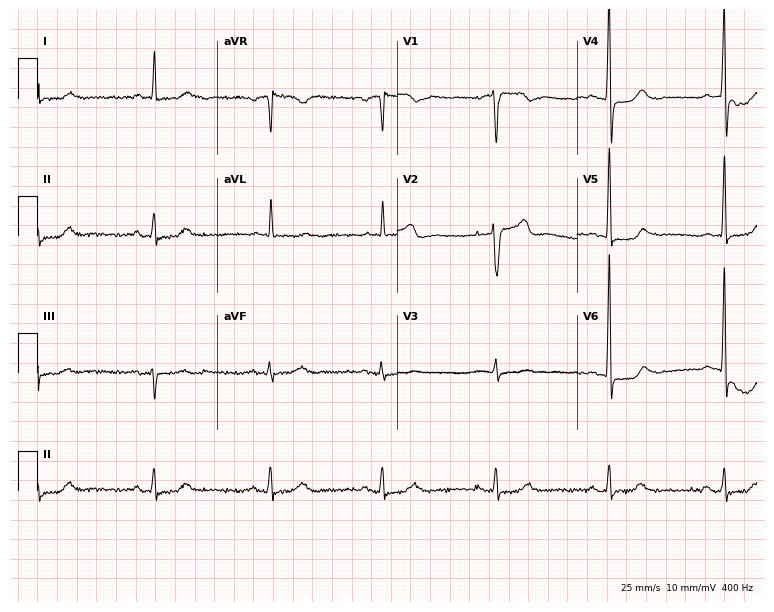
12-lead ECG from a male, 81 years old. No first-degree AV block, right bundle branch block, left bundle branch block, sinus bradycardia, atrial fibrillation or sinus tachycardia recorded for this tracing.